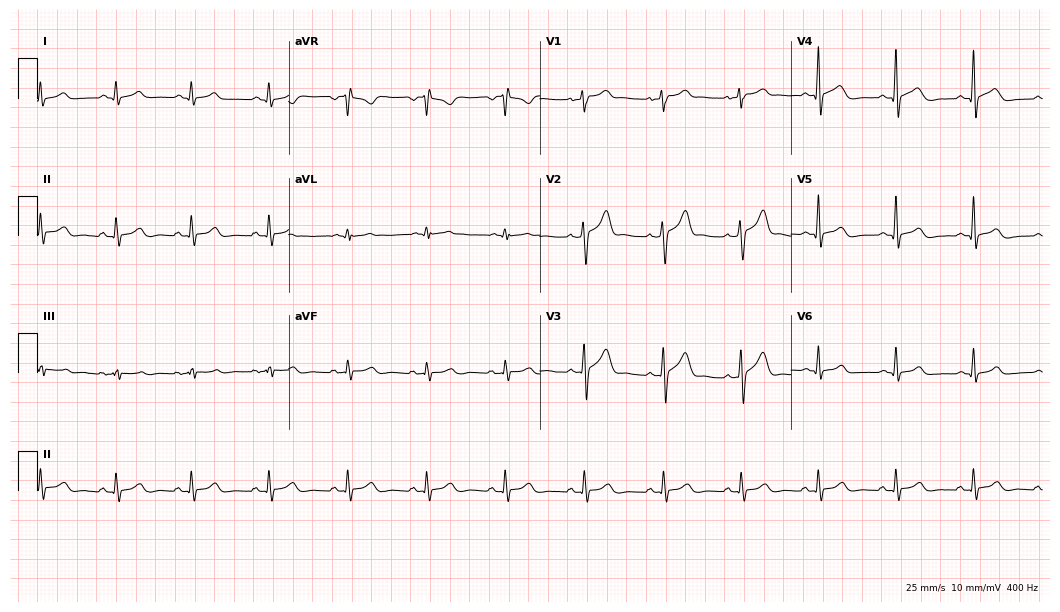
ECG — a 44-year-old male. Screened for six findings — first-degree AV block, right bundle branch block, left bundle branch block, sinus bradycardia, atrial fibrillation, sinus tachycardia — none is recorded. Only these six findings were labelled.